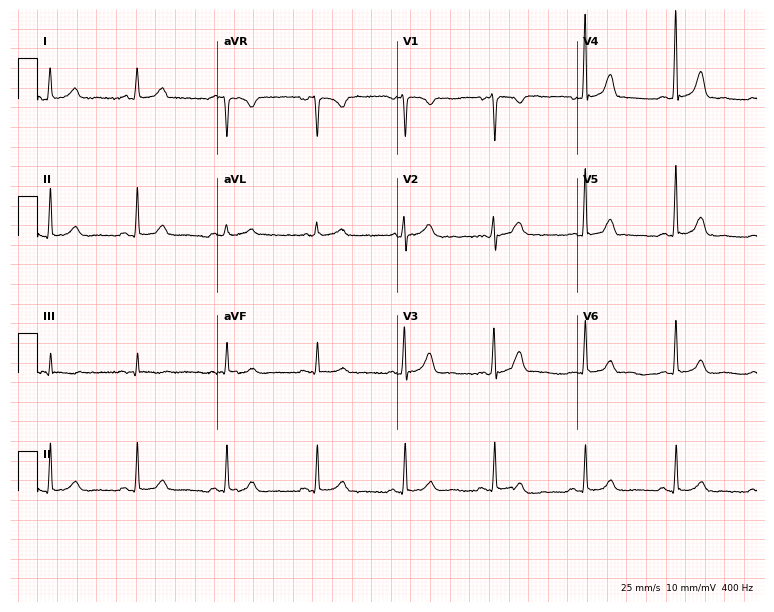
12-lead ECG from a 58-year-old woman. Screened for six findings — first-degree AV block, right bundle branch block, left bundle branch block, sinus bradycardia, atrial fibrillation, sinus tachycardia — none is recorded.